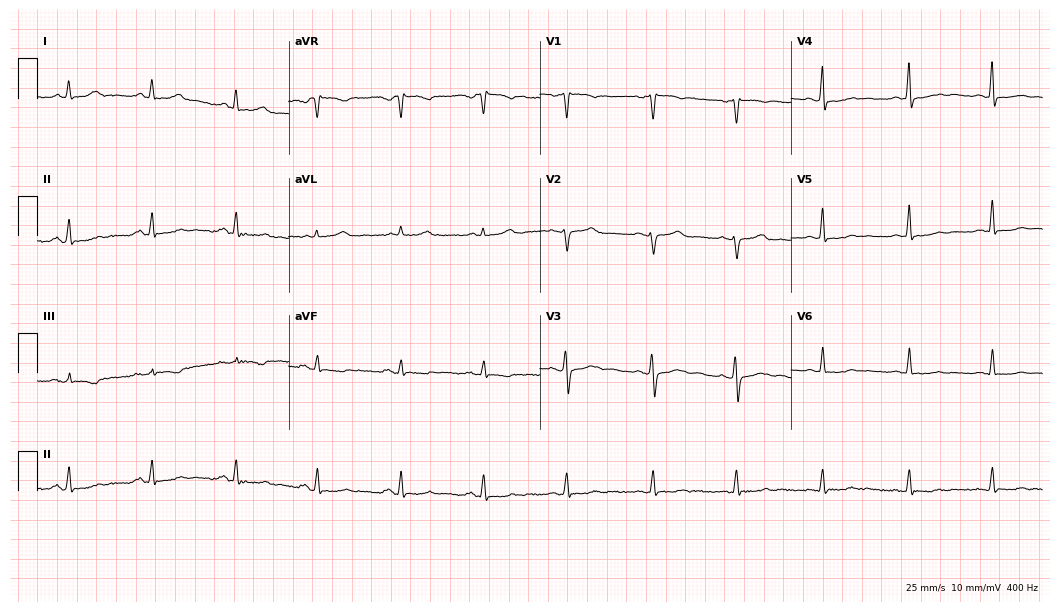
12-lead ECG from a female patient, 51 years old. Screened for six findings — first-degree AV block, right bundle branch block (RBBB), left bundle branch block (LBBB), sinus bradycardia, atrial fibrillation (AF), sinus tachycardia — none is recorded.